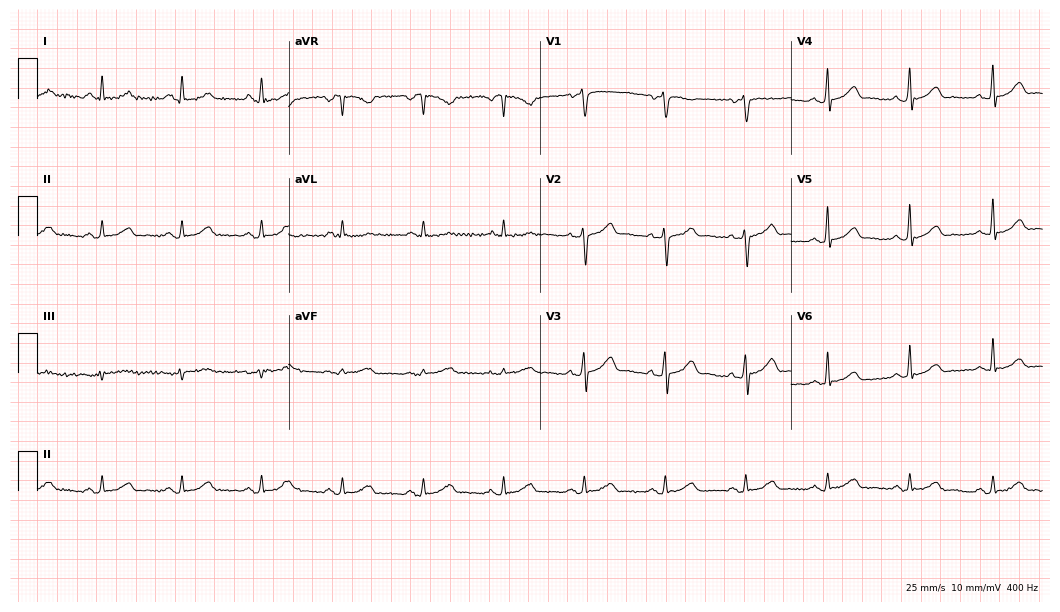
Resting 12-lead electrocardiogram (10.2-second recording at 400 Hz). Patient: a 65-year-old man. Read as a normal ECG.